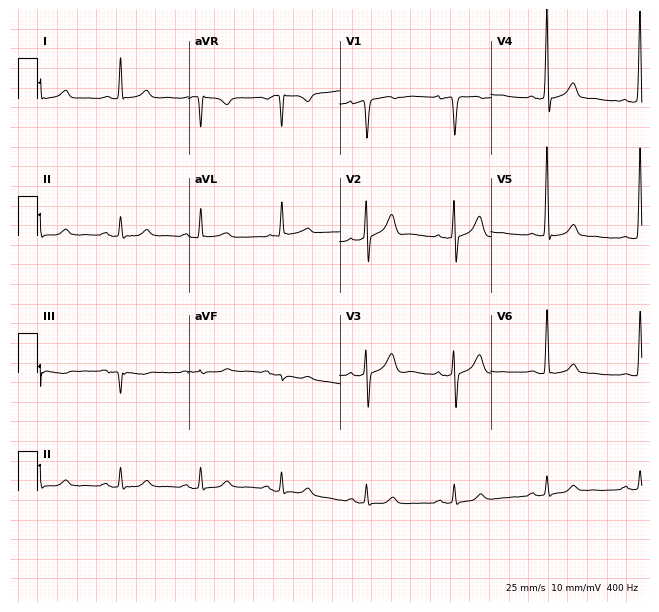
Resting 12-lead electrocardiogram. Patient: a male, 57 years old. Read as a normal ECG.